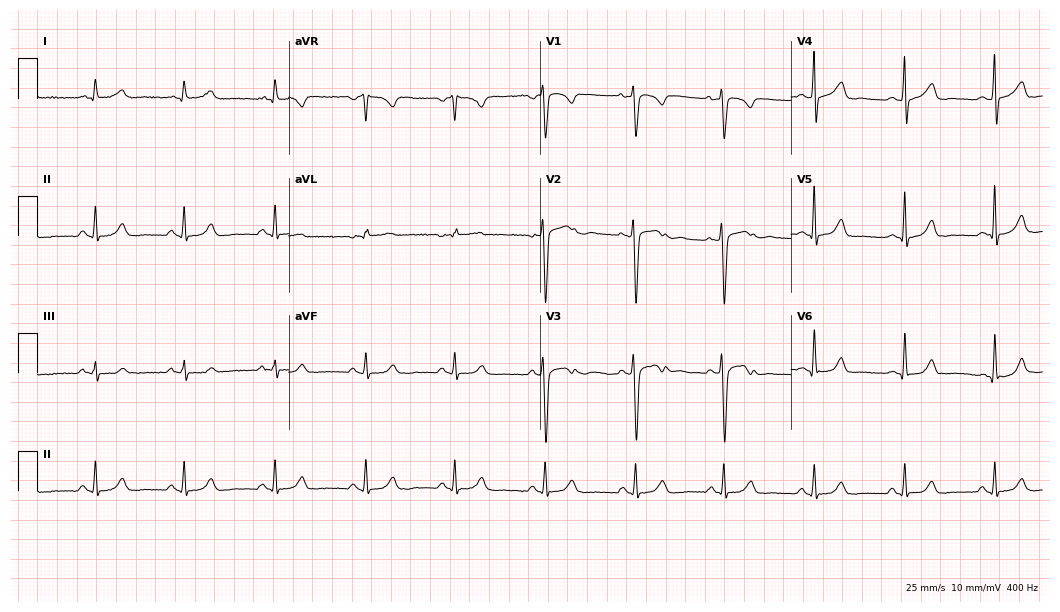
Resting 12-lead electrocardiogram (10.2-second recording at 400 Hz). Patient: a female, 40 years old. Read as a normal ECG.